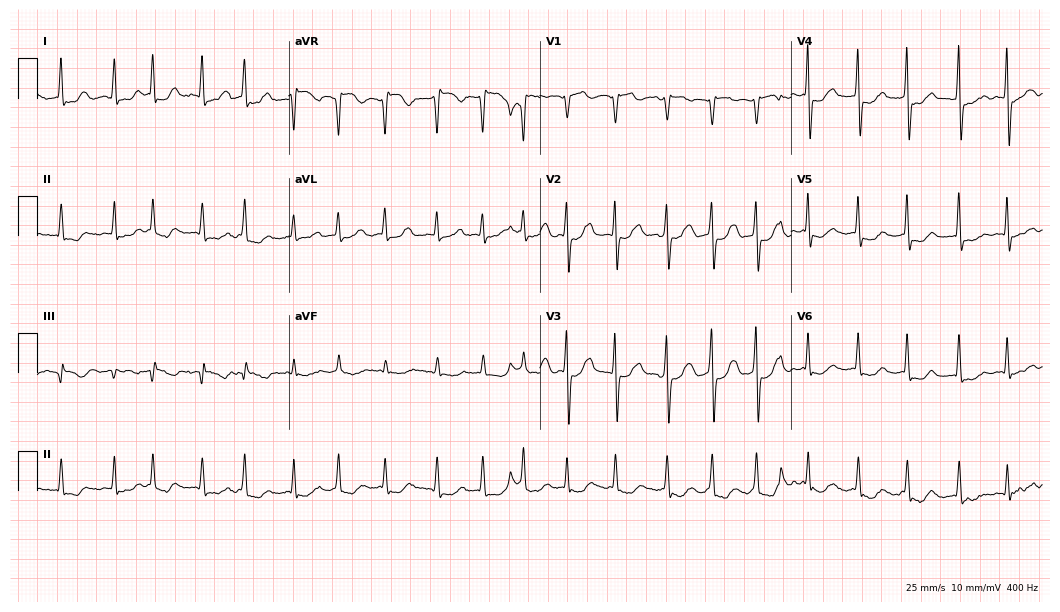
12-lead ECG (10.2-second recording at 400 Hz) from an 80-year-old female. Findings include atrial fibrillation (AF), sinus tachycardia (a sinus rate of 100 beats per minute or more).